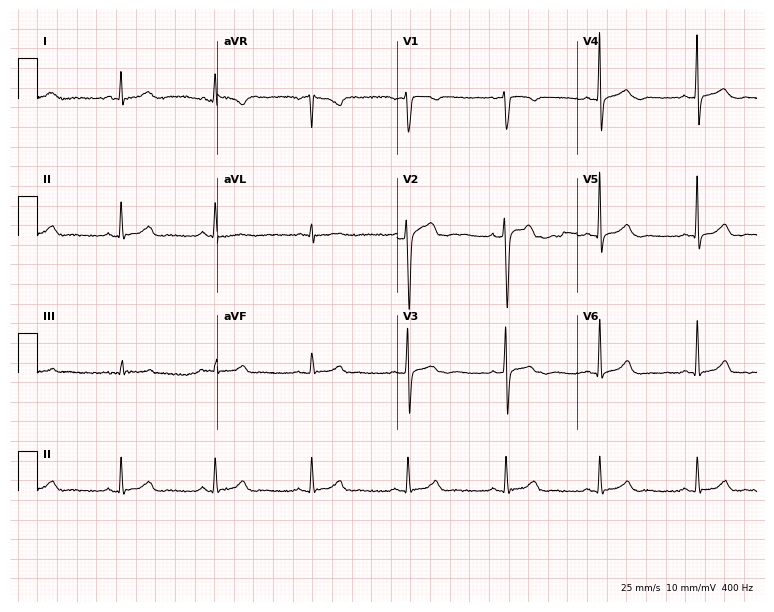
ECG (7.3-second recording at 400 Hz) — a female patient, 48 years old. Labelled as a normal ECG.